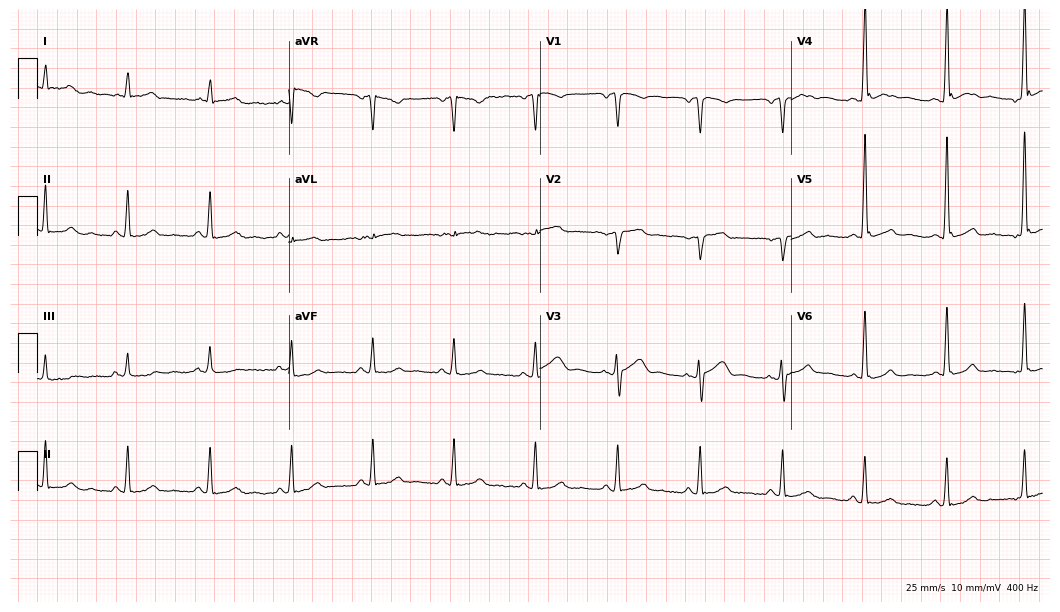
12-lead ECG from a 74-year-old male. Labelled as a normal ECG.